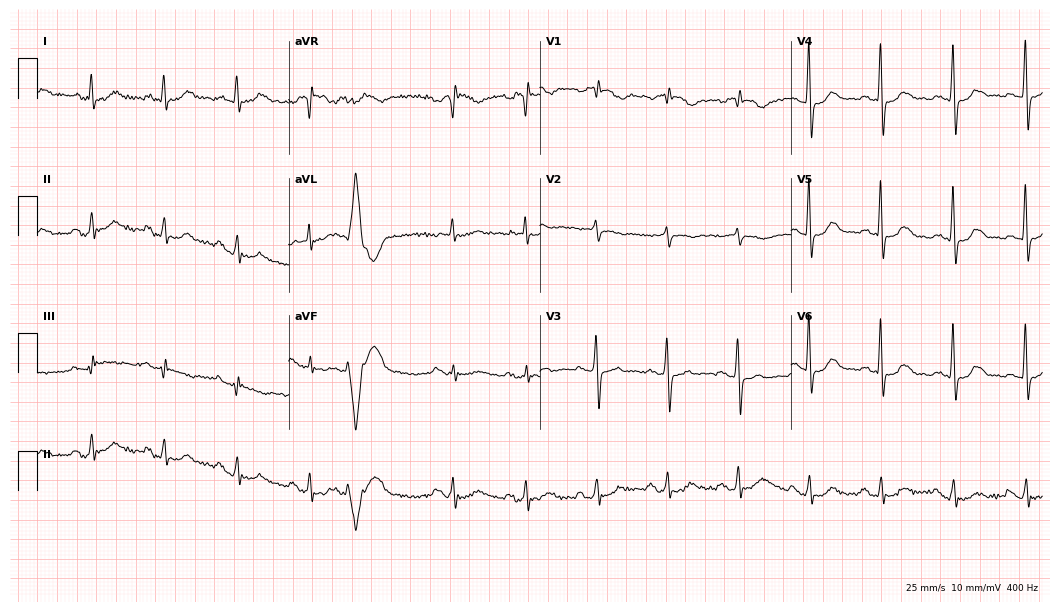
12-lead ECG from a female, 81 years old (10.2-second recording at 400 Hz). Recorded interpretation: within normal limits.